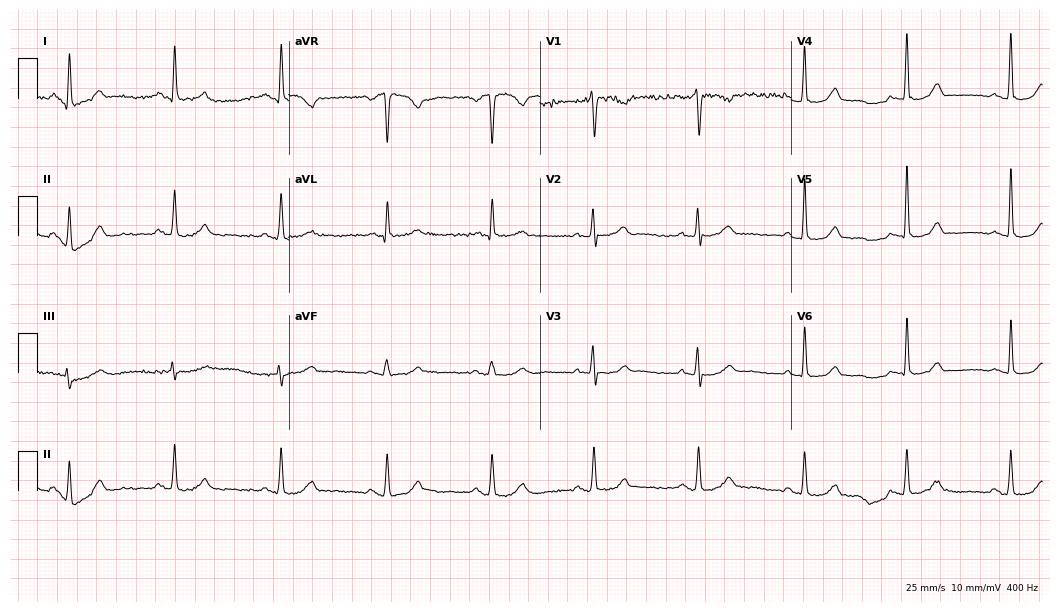
Electrocardiogram (10.2-second recording at 400 Hz), a 61-year-old woman. Overall reading on record: normal ECG.